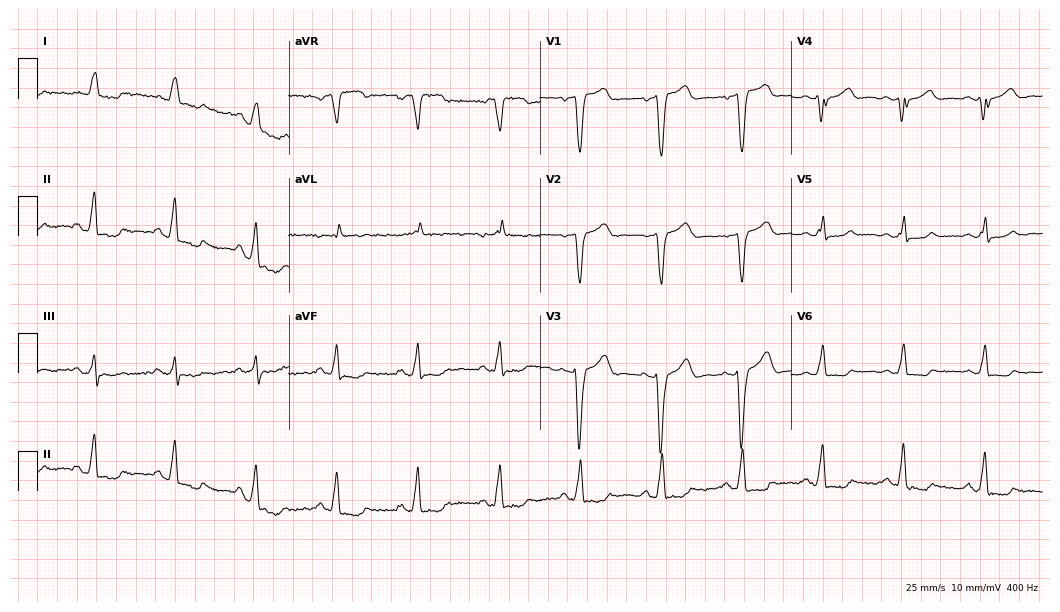
Resting 12-lead electrocardiogram. Patient: a 75-year-old female. The tracing shows left bundle branch block.